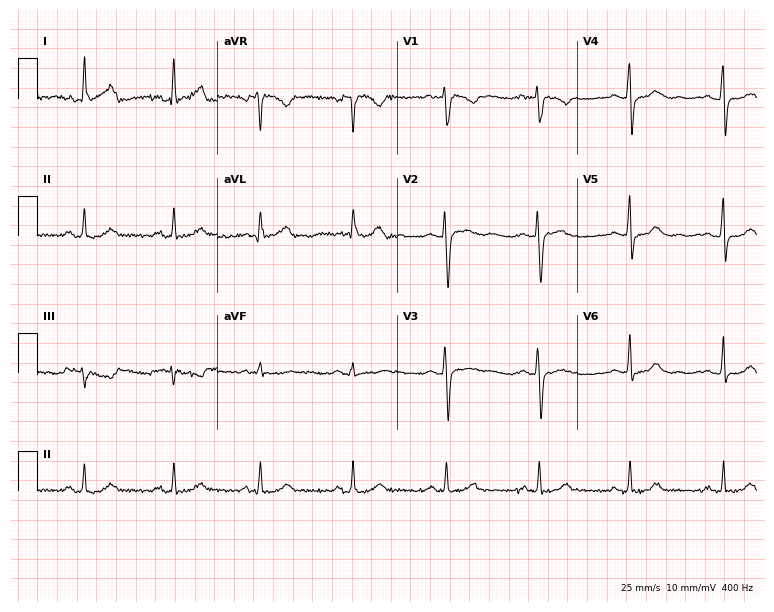
ECG (7.3-second recording at 400 Hz) — a 64-year-old female patient. Labelled as a normal ECG.